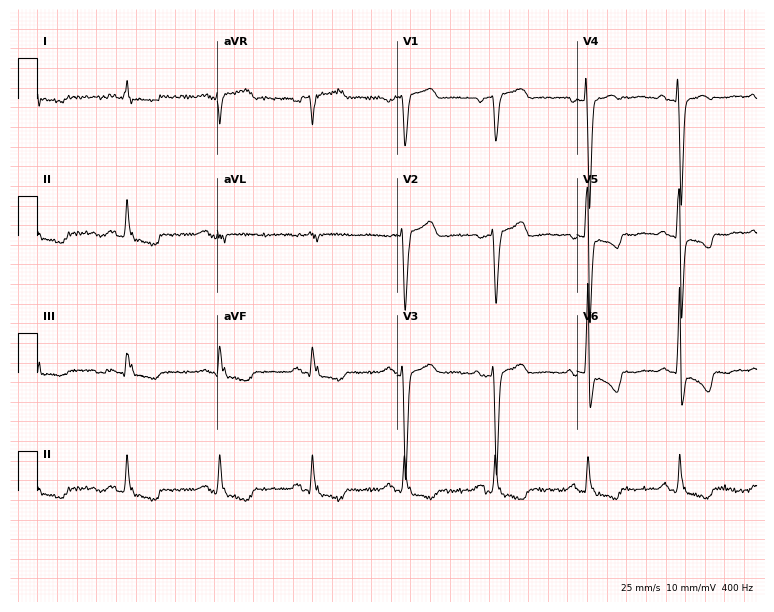
Standard 12-lead ECG recorded from a female patient, 79 years old (7.3-second recording at 400 Hz). None of these six findings is recorded: first-degree AV block, right bundle branch block (RBBB), left bundle branch block (LBBB), sinus bradycardia, atrial fibrillation (AF), sinus tachycardia.